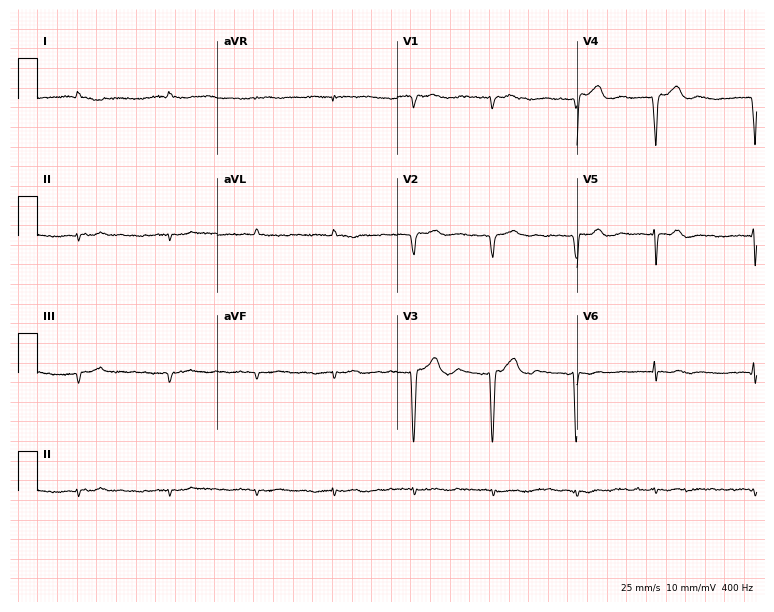
Resting 12-lead electrocardiogram (7.3-second recording at 400 Hz). Patient: an 81-year-old male. None of these six findings is recorded: first-degree AV block, right bundle branch block, left bundle branch block, sinus bradycardia, atrial fibrillation, sinus tachycardia. Other findings, if any, are not listed.